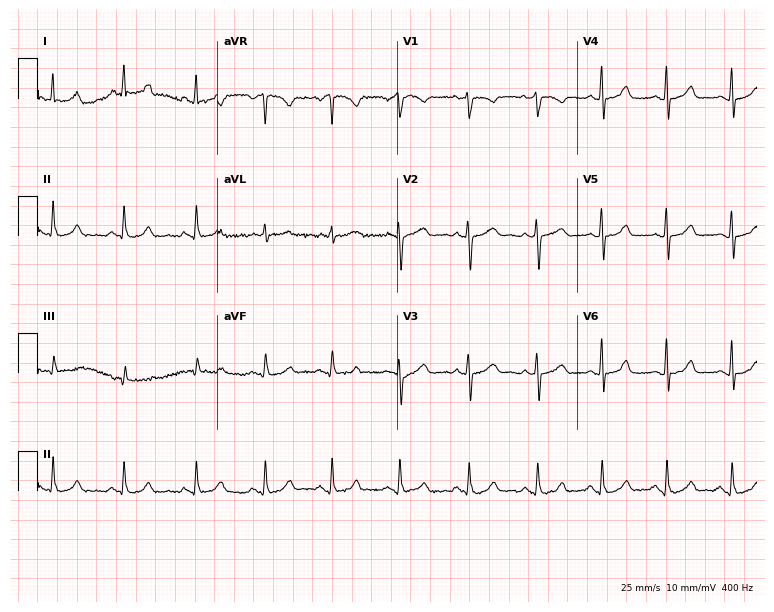
12-lead ECG from a 37-year-old female patient. Labelled as a normal ECG.